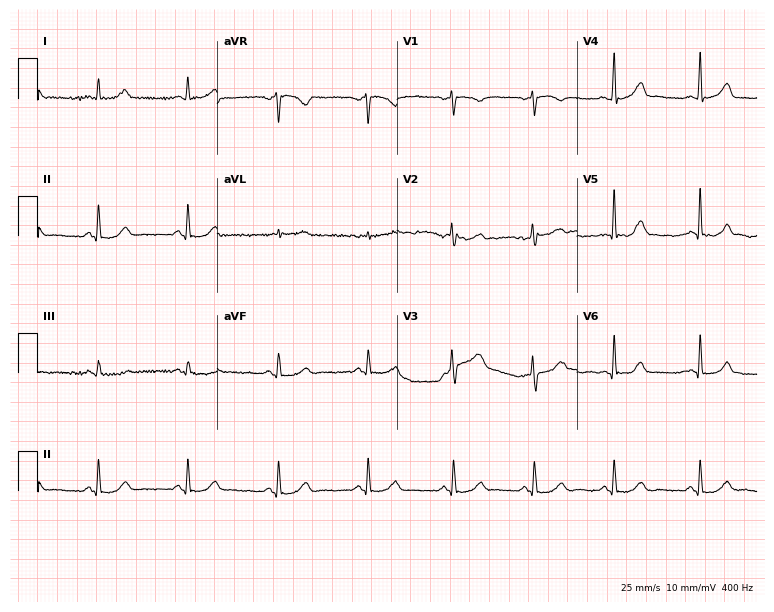
Standard 12-lead ECG recorded from a 39-year-old woman. None of these six findings is recorded: first-degree AV block, right bundle branch block (RBBB), left bundle branch block (LBBB), sinus bradycardia, atrial fibrillation (AF), sinus tachycardia.